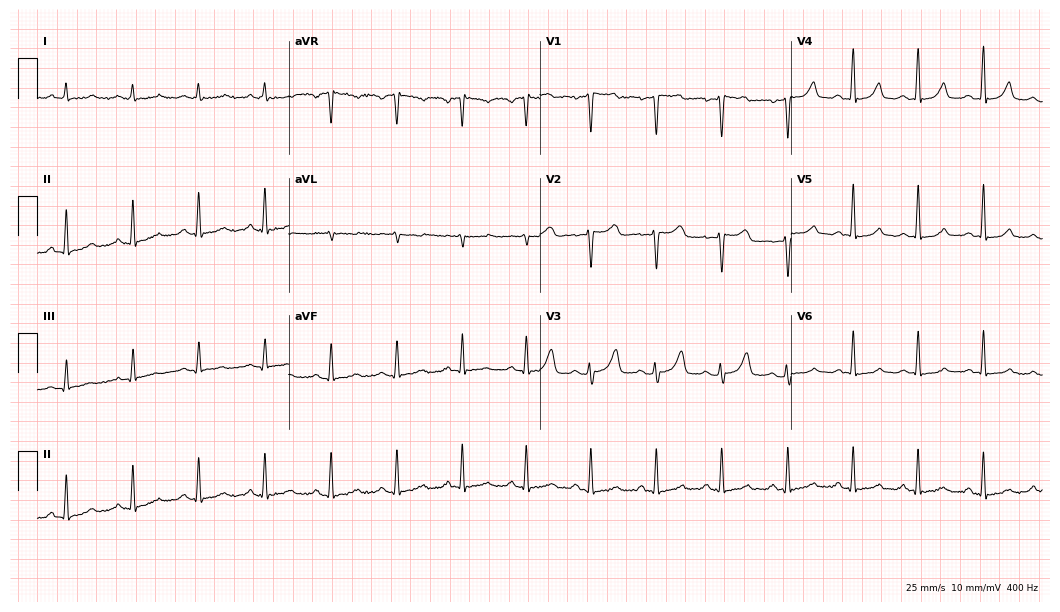
12-lead ECG from a female, 42 years old. Recorded interpretation: within normal limits.